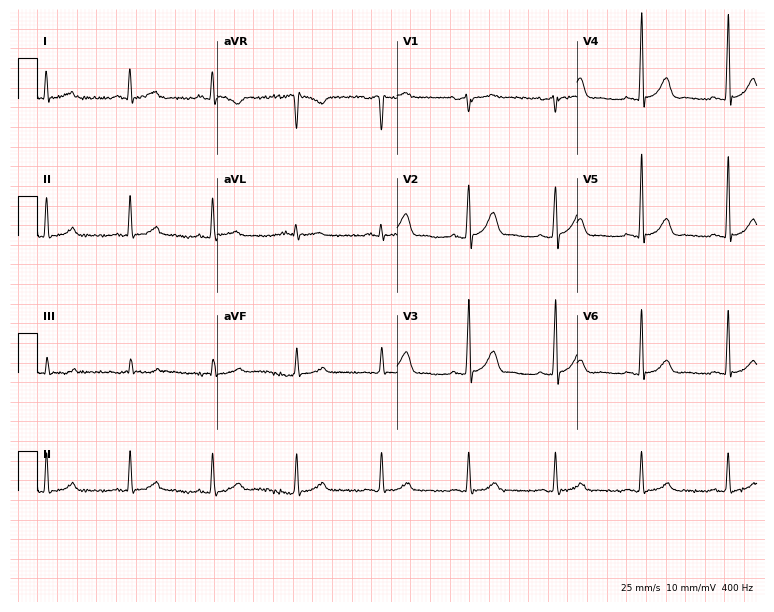
Electrocardiogram (7.3-second recording at 400 Hz), a 61-year-old male. Overall reading on record: normal ECG.